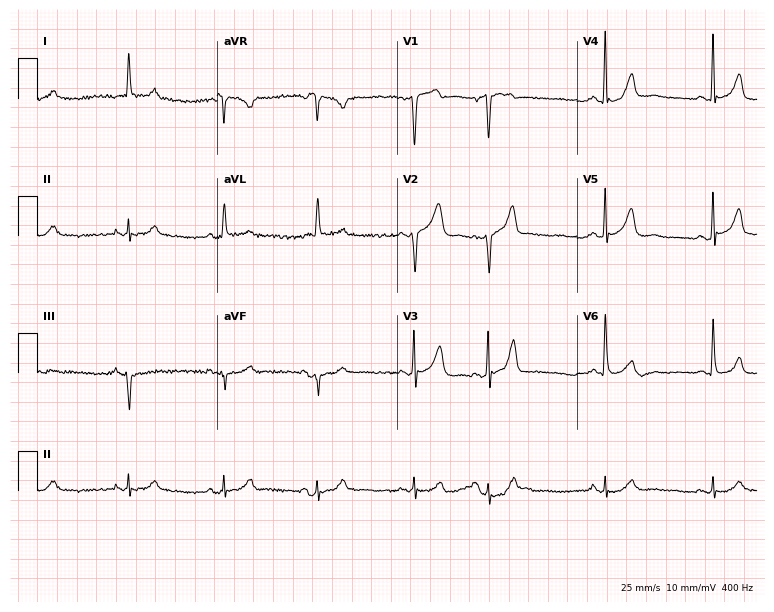
12-lead ECG from a 74-year-old male patient. Screened for six findings — first-degree AV block, right bundle branch block, left bundle branch block, sinus bradycardia, atrial fibrillation, sinus tachycardia — none is recorded. Other findings, if any, are not listed.